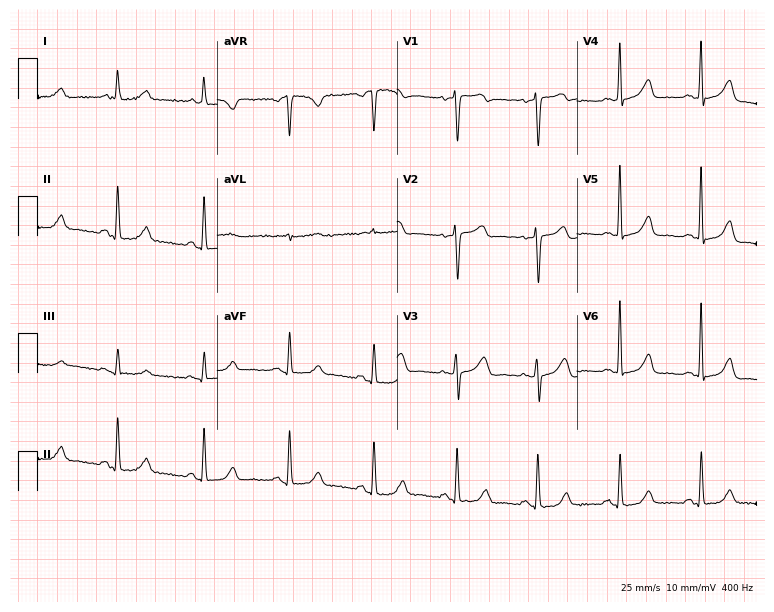
Electrocardiogram, a woman, 74 years old. Of the six screened findings (first-degree AV block, right bundle branch block, left bundle branch block, sinus bradycardia, atrial fibrillation, sinus tachycardia), none is recorded.